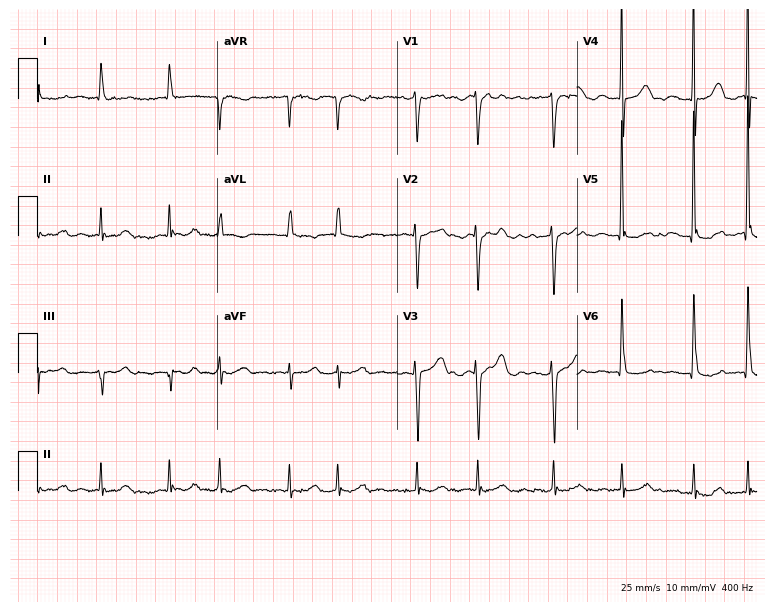
12-lead ECG from a female, 70 years old. Shows atrial fibrillation.